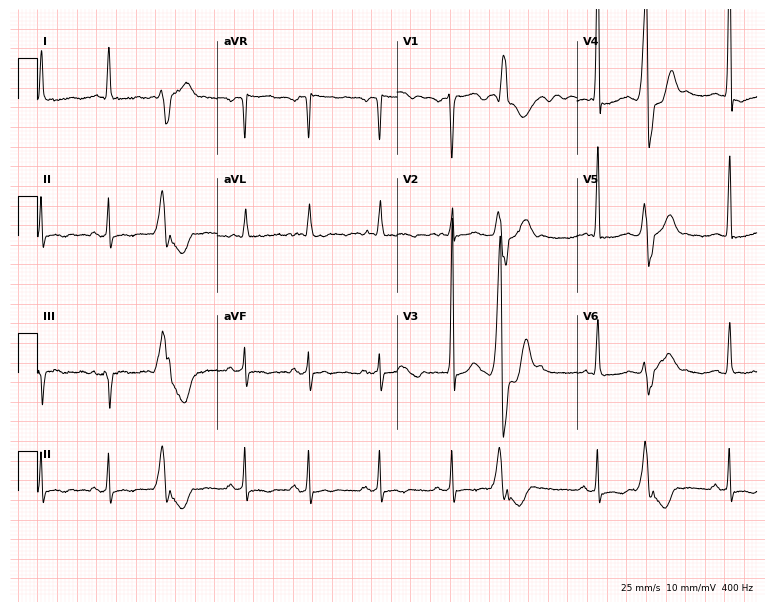
12-lead ECG (7.3-second recording at 400 Hz) from a 48-year-old male patient. Screened for six findings — first-degree AV block, right bundle branch block, left bundle branch block, sinus bradycardia, atrial fibrillation, sinus tachycardia — none is recorded. Other findings, if any, are not listed.